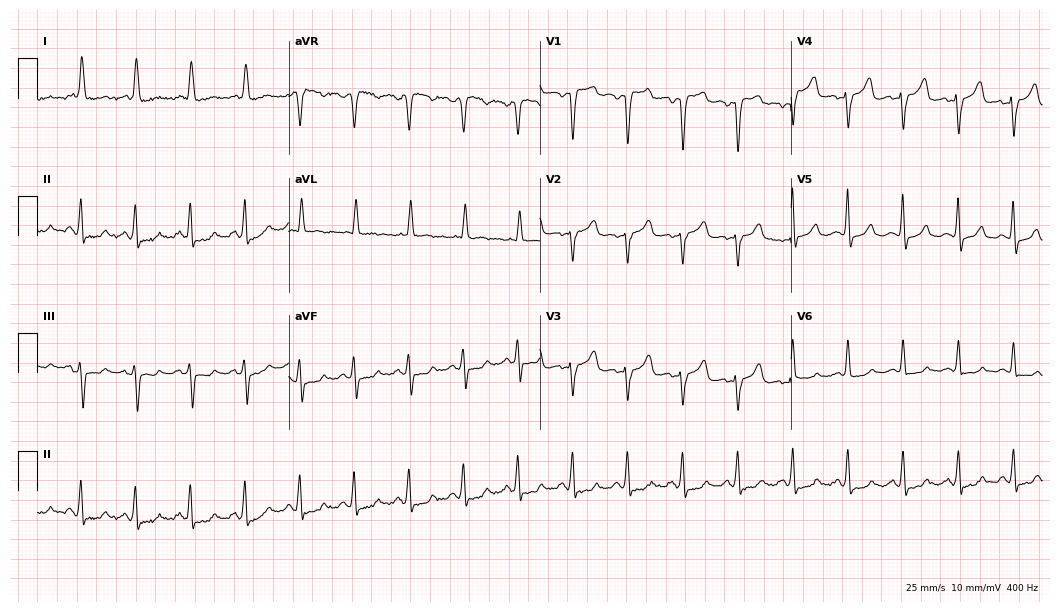
Resting 12-lead electrocardiogram. Patient: a female, 66 years old. The tracing shows sinus tachycardia (a sinus rate of 100 beats per minute or more).